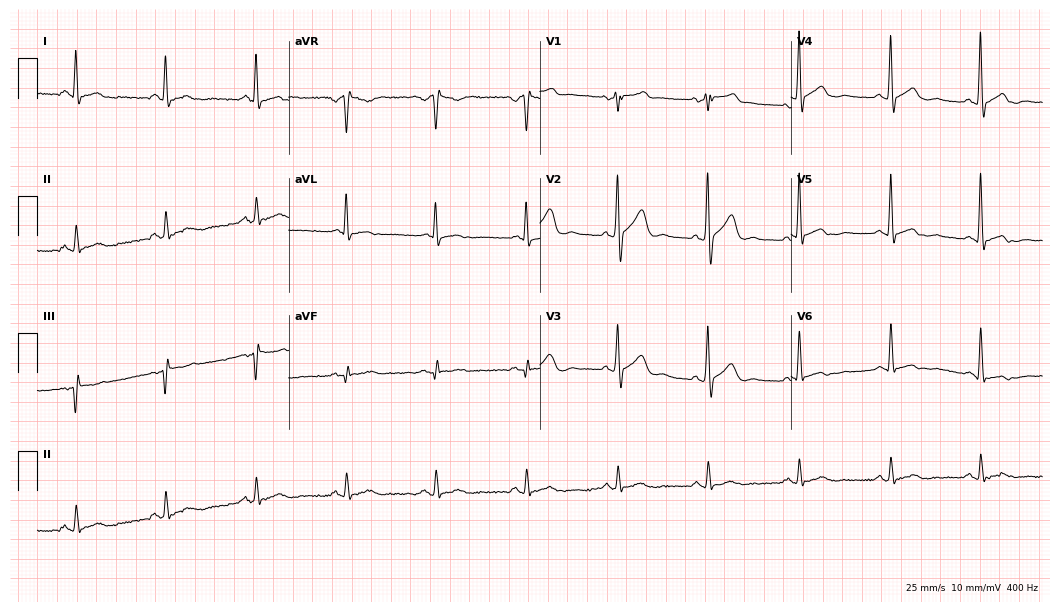
12-lead ECG from a male, 47 years old. Recorded interpretation: within normal limits.